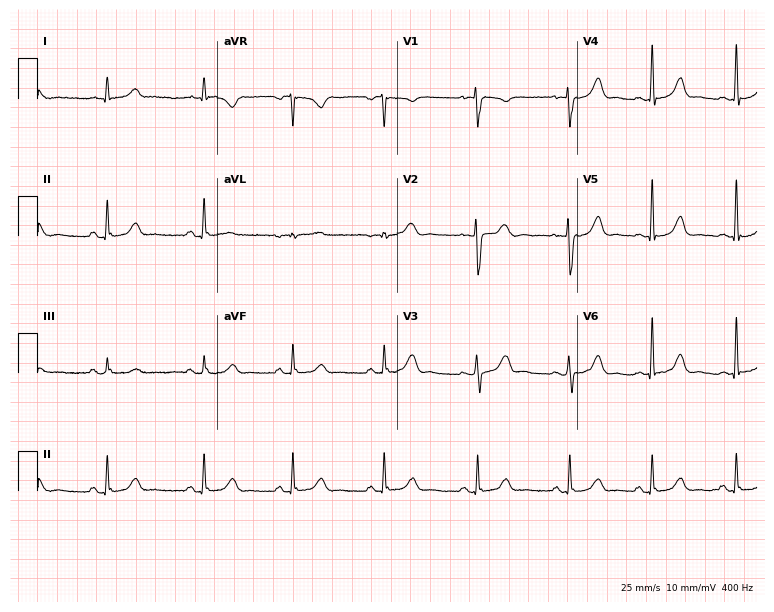
Electrocardiogram (7.3-second recording at 400 Hz), a woman, 39 years old. Overall reading on record: normal ECG.